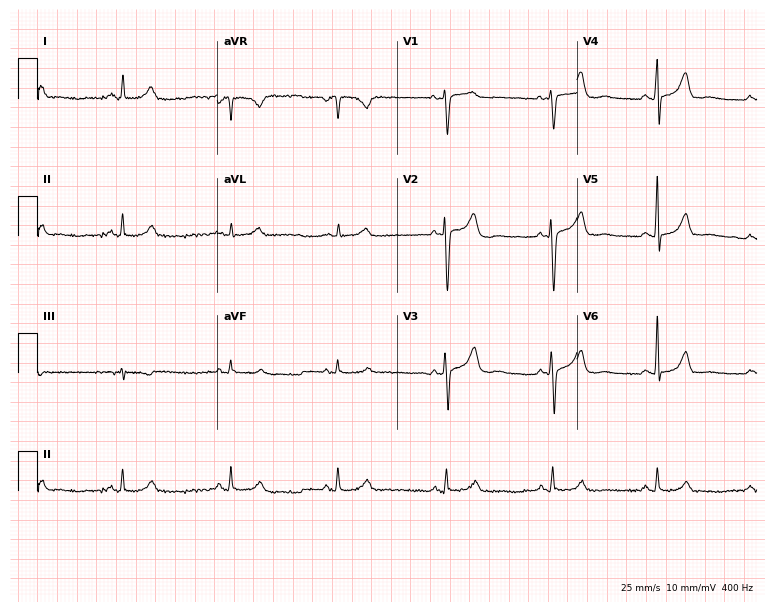
12-lead ECG from a 78-year-old man. Recorded interpretation: within normal limits.